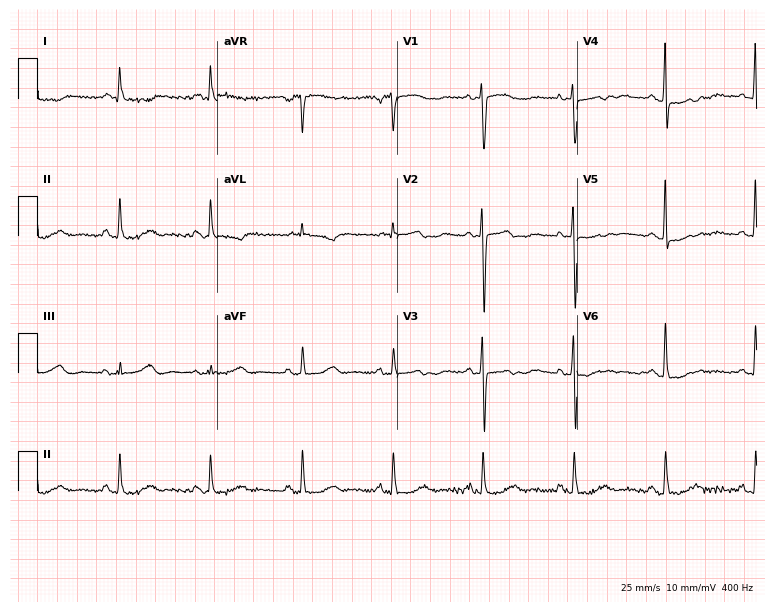
12-lead ECG from a female patient, 79 years old (7.3-second recording at 400 Hz). No first-degree AV block, right bundle branch block (RBBB), left bundle branch block (LBBB), sinus bradycardia, atrial fibrillation (AF) or sinus tachycardia recorded for this tracing. Findings outside these six are not listed.